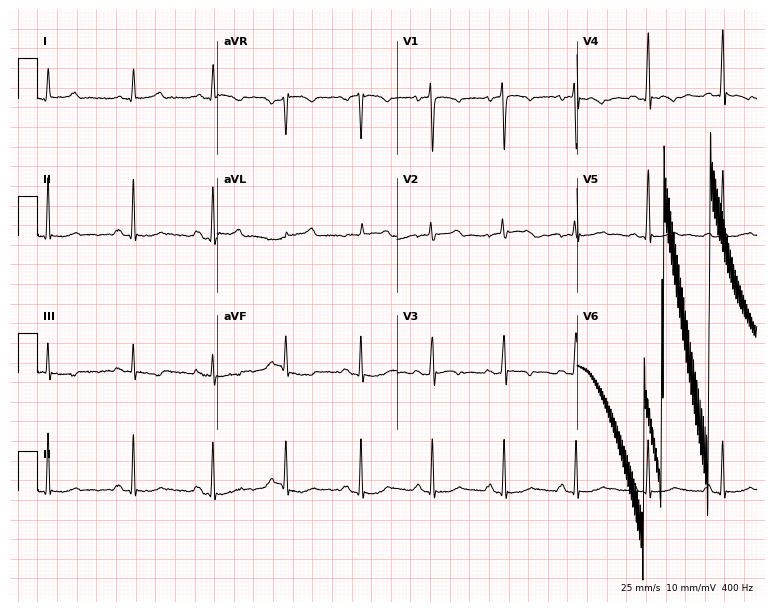
12-lead ECG (7.3-second recording at 400 Hz) from a female patient, 44 years old. Screened for six findings — first-degree AV block, right bundle branch block, left bundle branch block, sinus bradycardia, atrial fibrillation, sinus tachycardia — none is recorded.